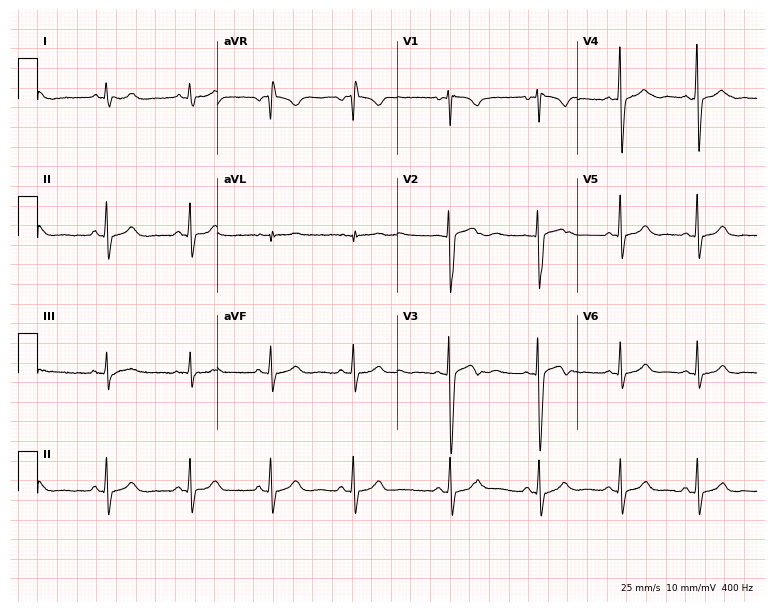
12-lead ECG (7.3-second recording at 400 Hz) from a female, 22 years old. Screened for six findings — first-degree AV block, right bundle branch block (RBBB), left bundle branch block (LBBB), sinus bradycardia, atrial fibrillation (AF), sinus tachycardia — none is recorded. Findings outside these six are not listed.